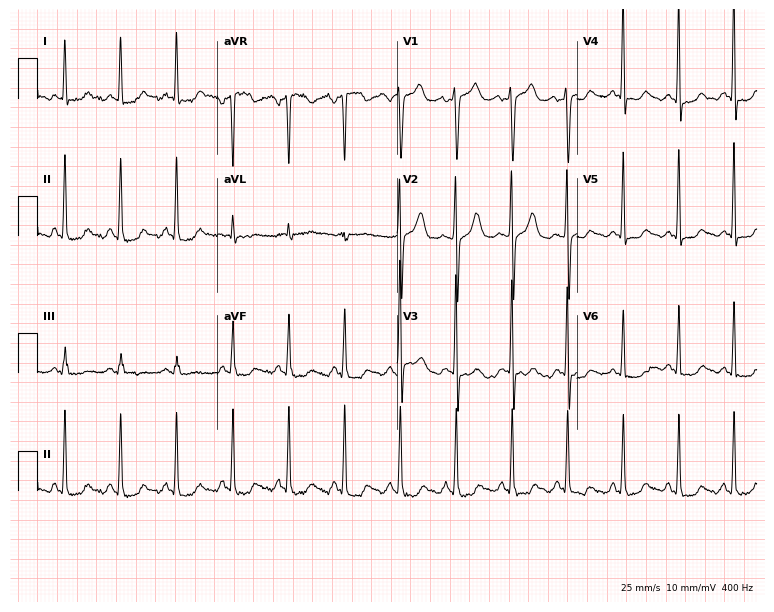
12-lead ECG from a female, 63 years old. Shows sinus tachycardia (a sinus rate of 100 beats per minute or more).